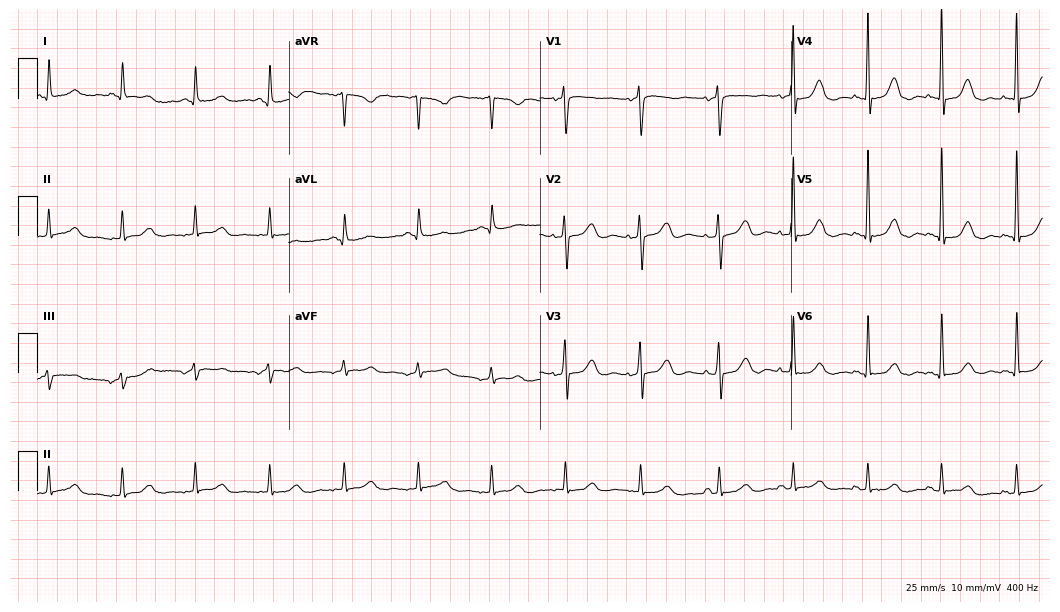
12-lead ECG from a 66-year-old man. Recorded interpretation: within normal limits.